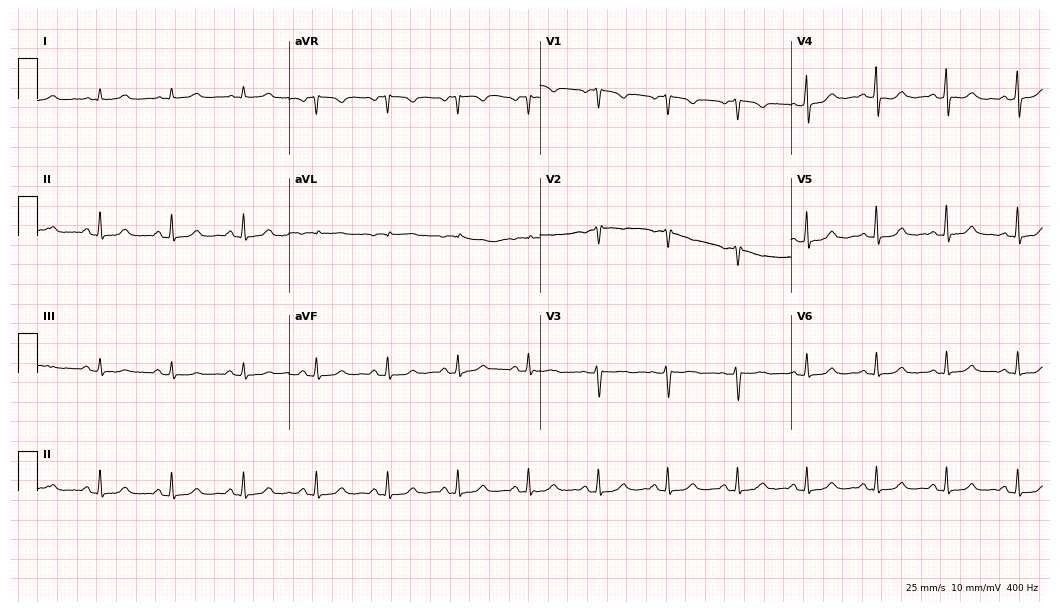
12-lead ECG from a 59-year-old female patient (10.2-second recording at 400 Hz). No first-degree AV block, right bundle branch block (RBBB), left bundle branch block (LBBB), sinus bradycardia, atrial fibrillation (AF) or sinus tachycardia recorded for this tracing. Other findings, if any, are not listed.